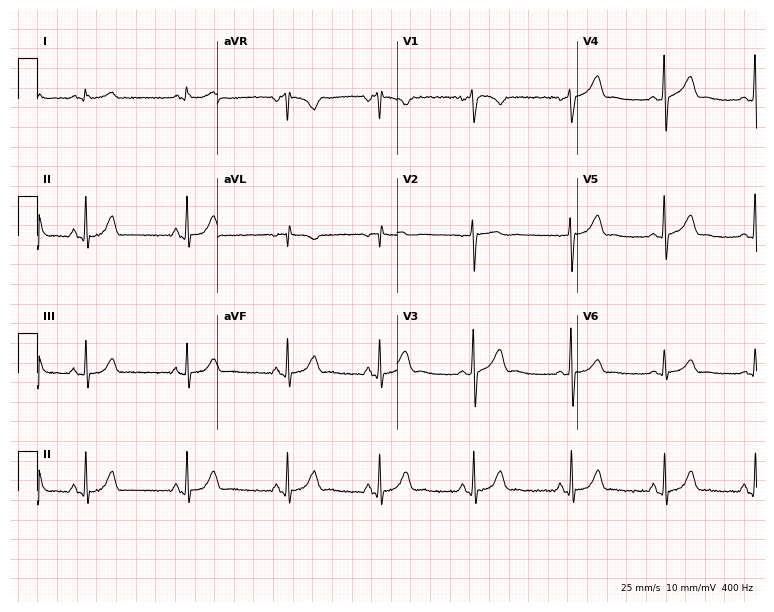
Resting 12-lead electrocardiogram. Patient: a 22-year-old female. Read as a normal ECG.